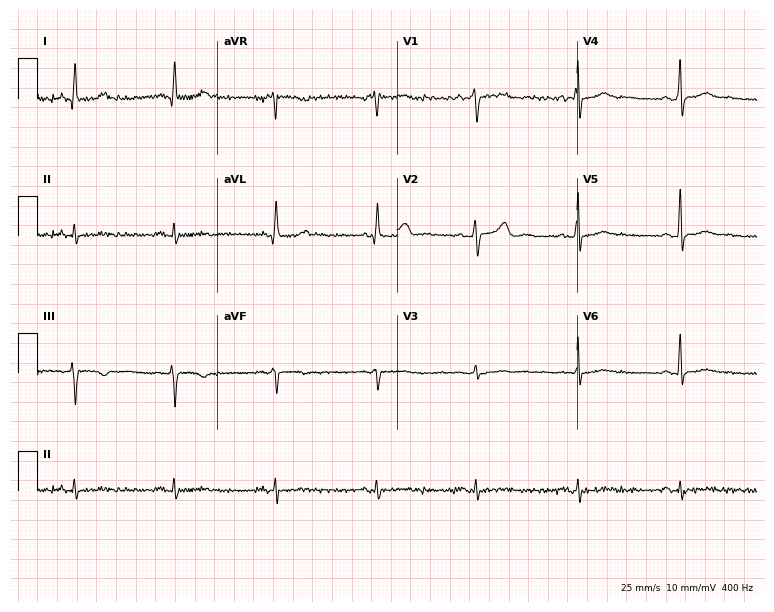
12-lead ECG from a female patient, 44 years old (7.3-second recording at 400 Hz). No first-degree AV block, right bundle branch block, left bundle branch block, sinus bradycardia, atrial fibrillation or sinus tachycardia recorded for this tracing.